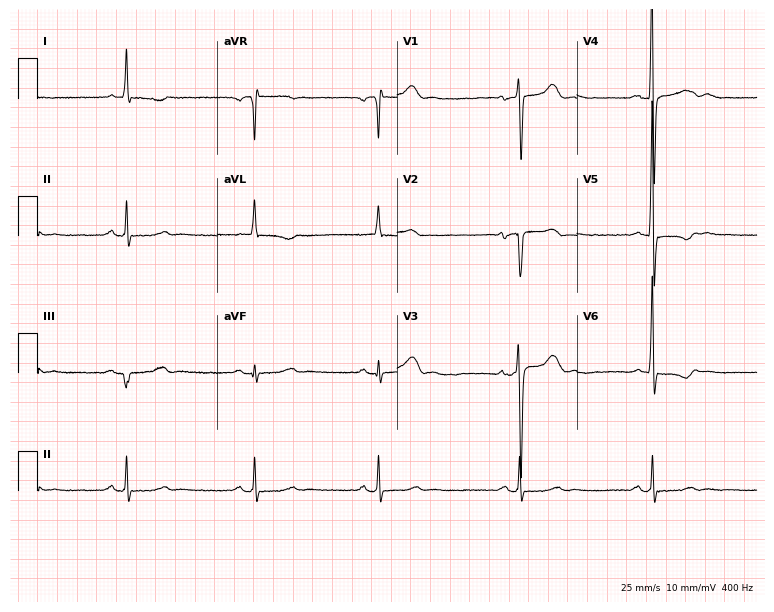
12-lead ECG (7.3-second recording at 400 Hz) from an 84-year-old female patient. Findings include right bundle branch block, sinus bradycardia (a sinus rate of 50 beats per minute or less).